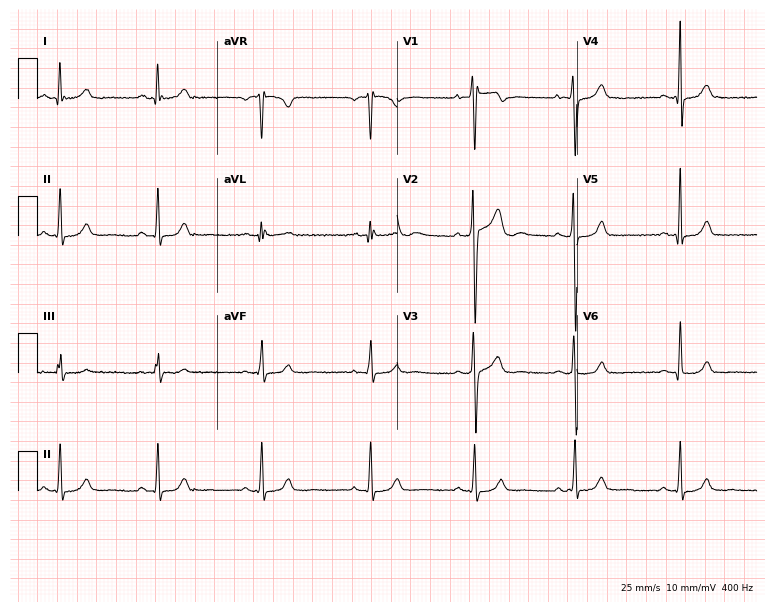
Resting 12-lead electrocardiogram. Patient: a male, 22 years old. Read as a normal ECG.